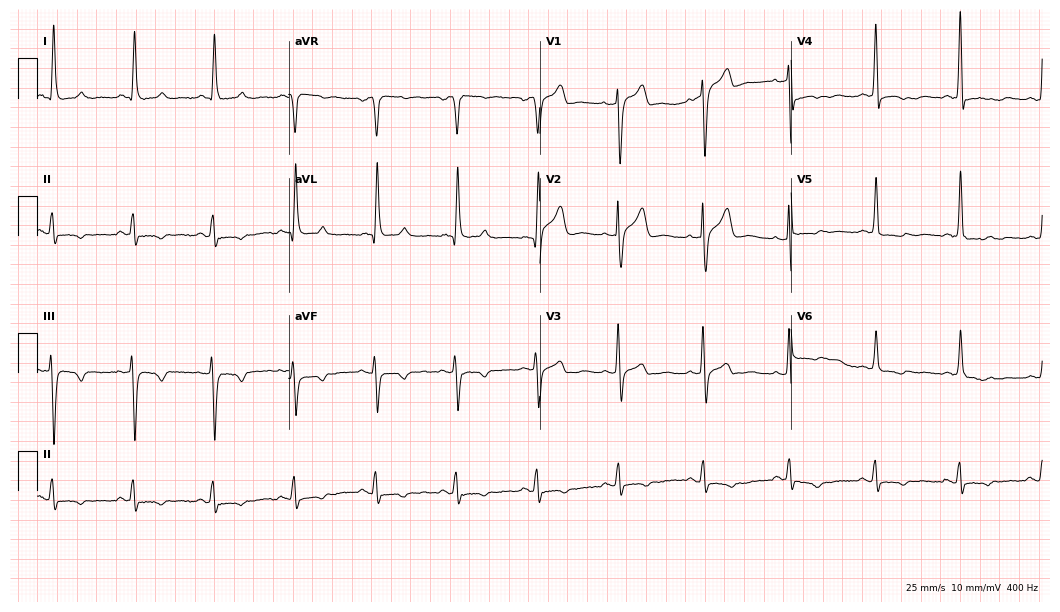
12-lead ECG from a 78-year-old male patient. No first-degree AV block, right bundle branch block (RBBB), left bundle branch block (LBBB), sinus bradycardia, atrial fibrillation (AF) or sinus tachycardia recorded for this tracing.